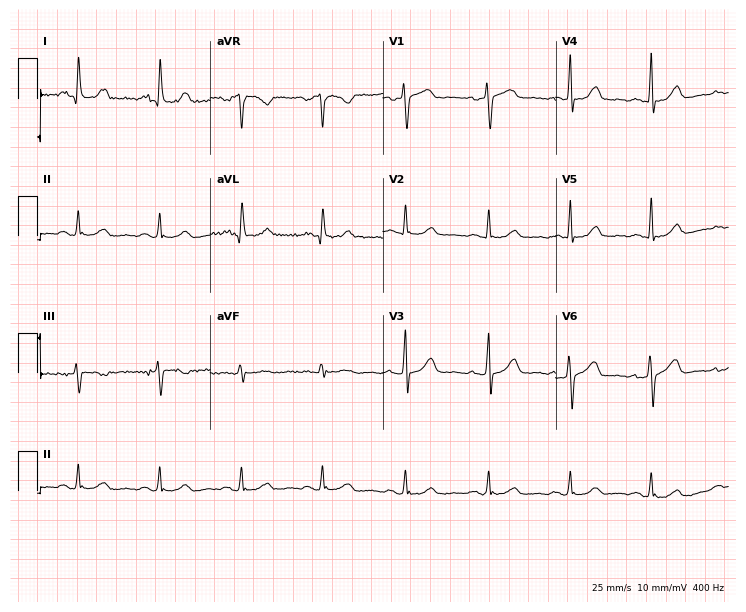
Resting 12-lead electrocardiogram (7-second recording at 400 Hz). Patient: a female, 60 years old. None of these six findings is recorded: first-degree AV block, right bundle branch block, left bundle branch block, sinus bradycardia, atrial fibrillation, sinus tachycardia.